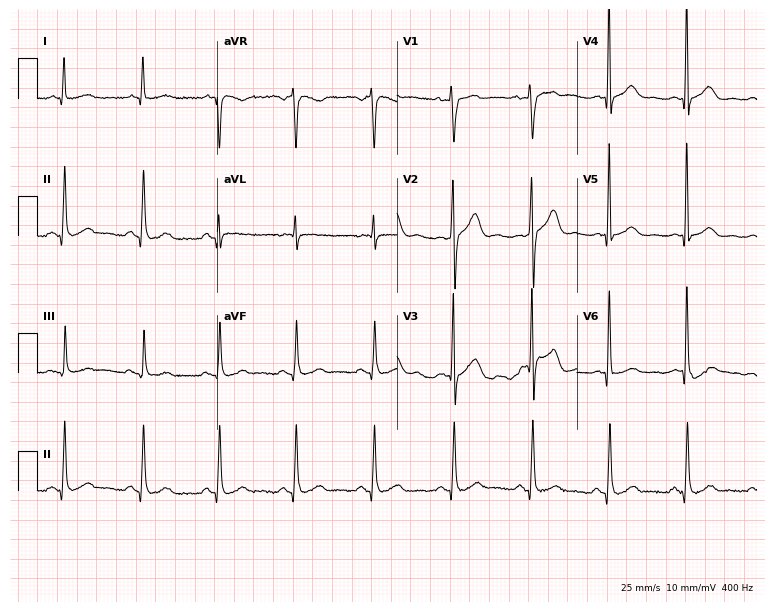
Standard 12-lead ECG recorded from a male, 56 years old (7.3-second recording at 400 Hz). None of these six findings is recorded: first-degree AV block, right bundle branch block, left bundle branch block, sinus bradycardia, atrial fibrillation, sinus tachycardia.